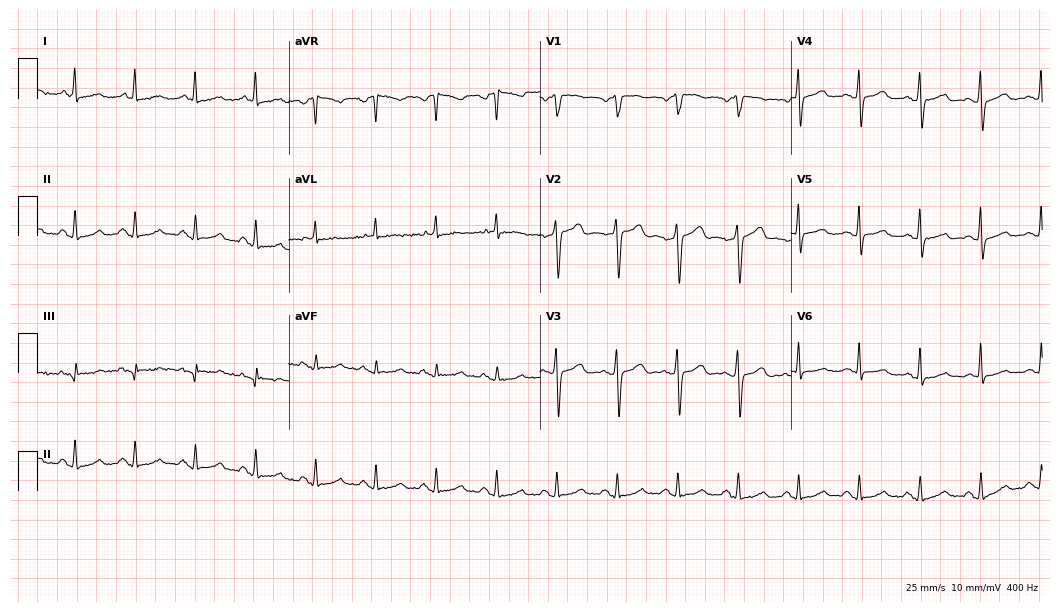
ECG (10.2-second recording at 400 Hz) — a 72-year-old female patient. Labelled as a normal ECG.